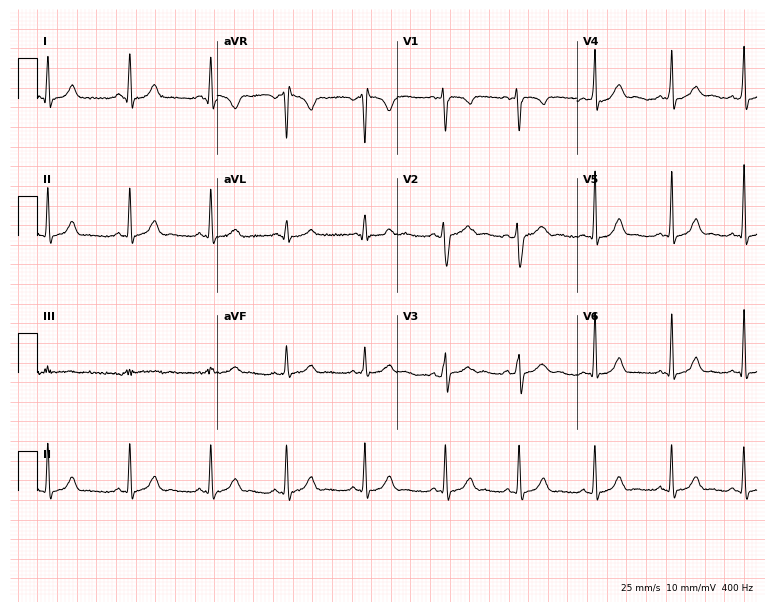
ECG (7.3-second recording at 400 Hz) — a 32-year-old woman. Labelled as a normal ECG.